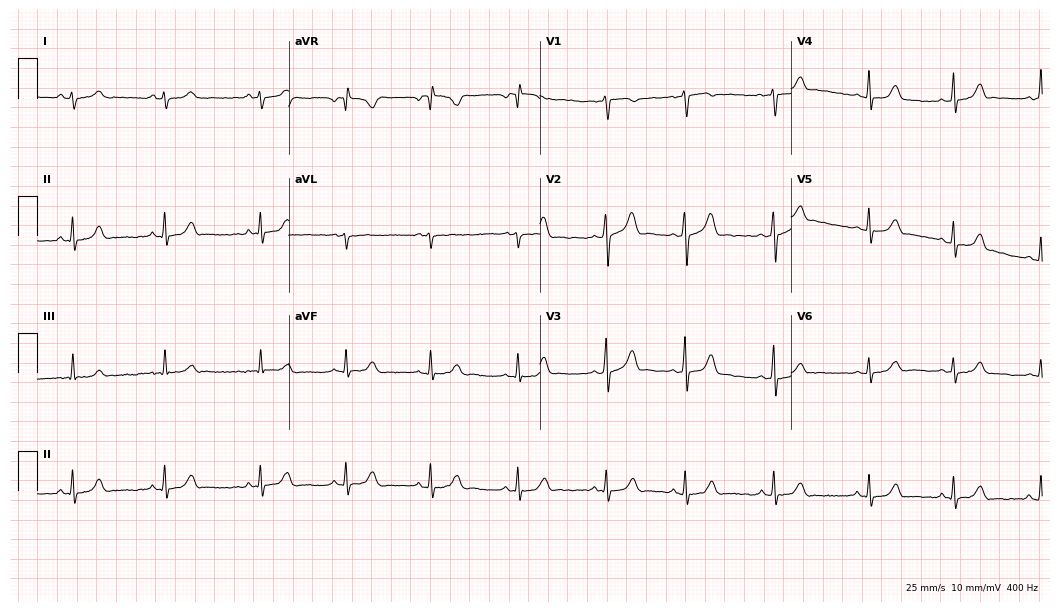
12-lead ECG from a 17-year-old woman (10.2-second recording at 400 Hz). Recorded interpretation: within normal limits.